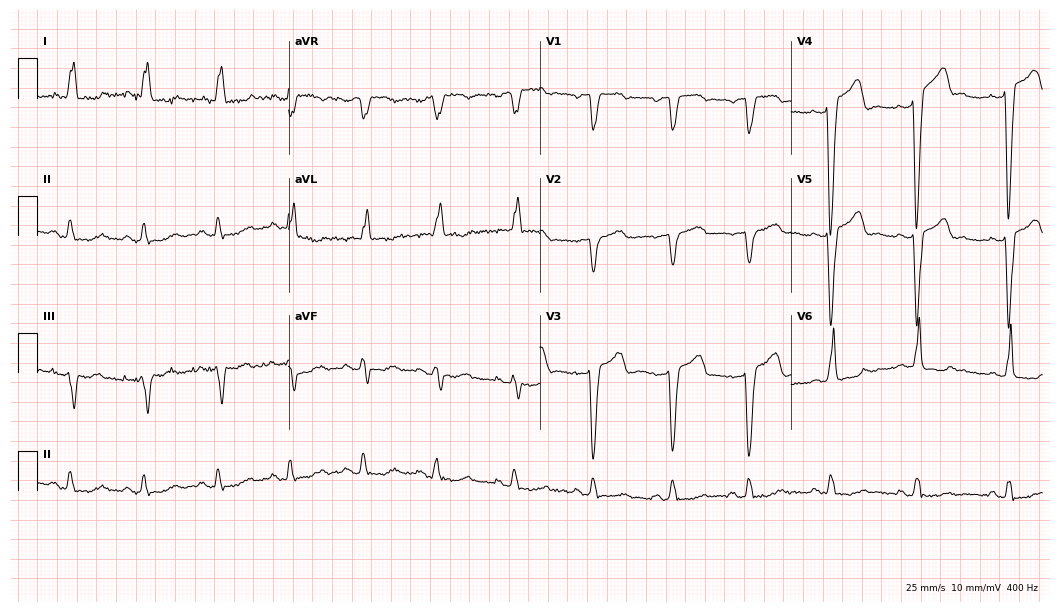
Electrocardiogram, a 68-year-old female. Interpretation includes left bundle branch block.